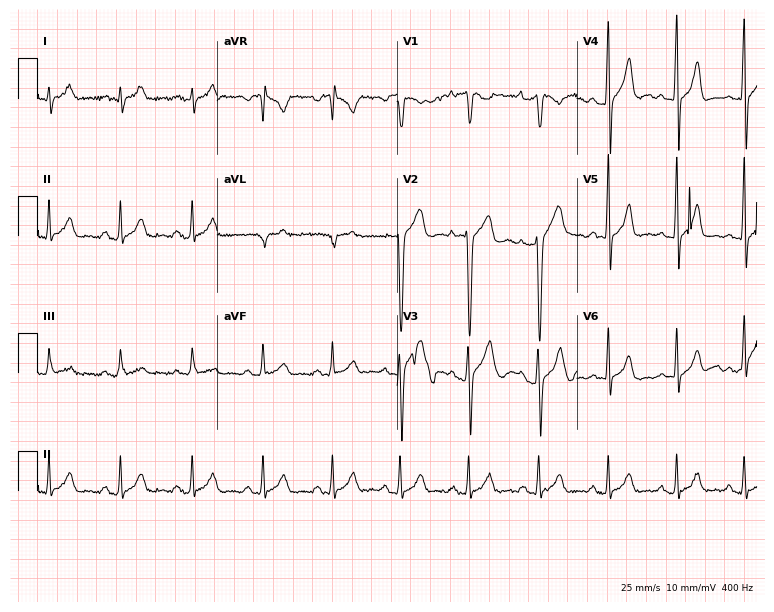
Standard 12-lead ECG recorded from a male patient, 28 years old (7.3-second recording at 400 Hz). Read as a normal ECG.